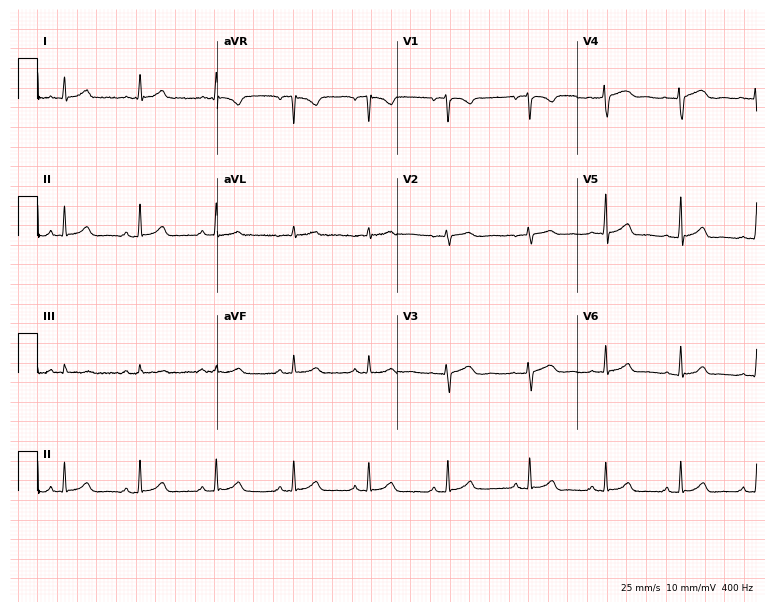
Resting 12-lead electrocardiogram (7.3-second recording at 400 Hz). Patient: a female, 22 years old. Read as a normal ECG.